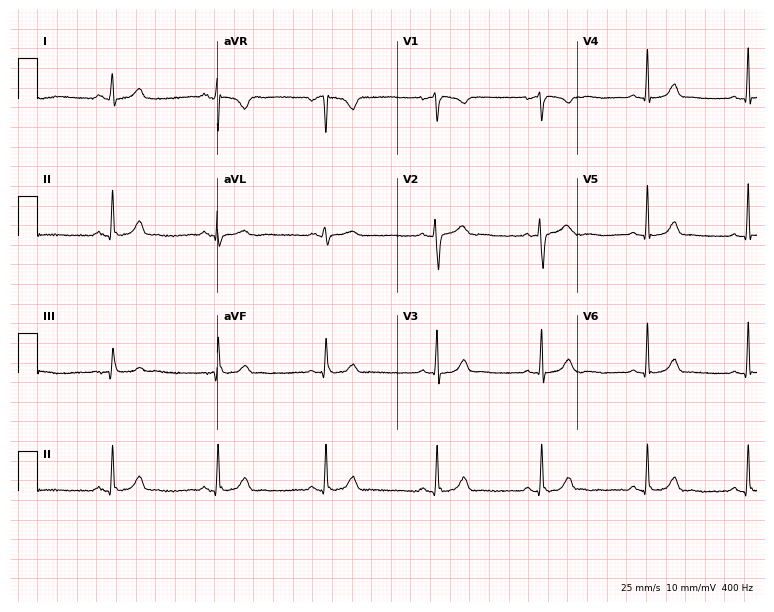
Electrocardiogram, a woman, 29 years old. Overall reading on record: normal ECG.